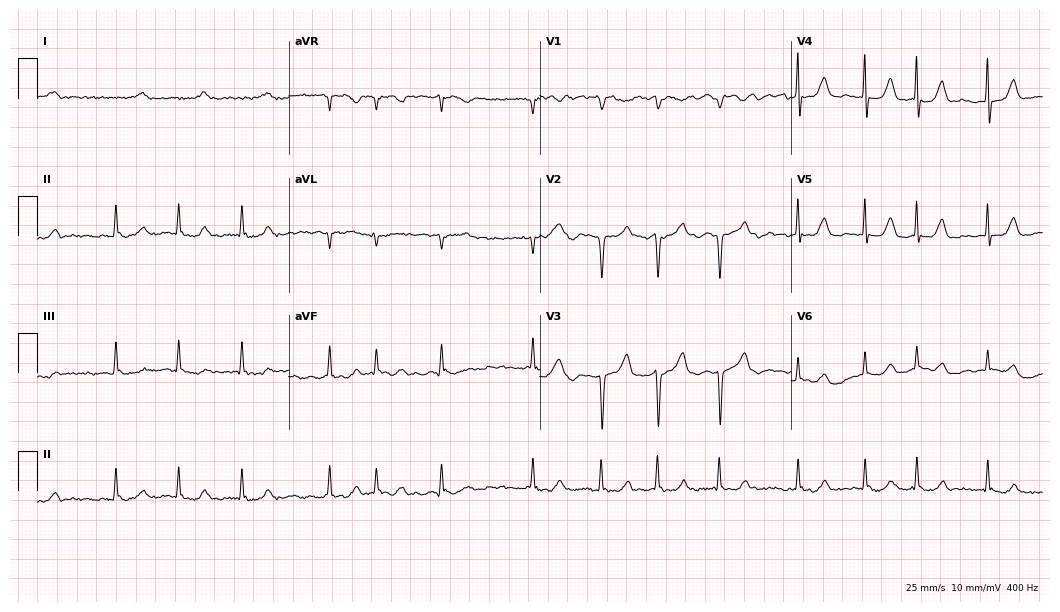
Electrocardiogram, a 76-year-old female patient. Interpretation includes atrial fibrillation.